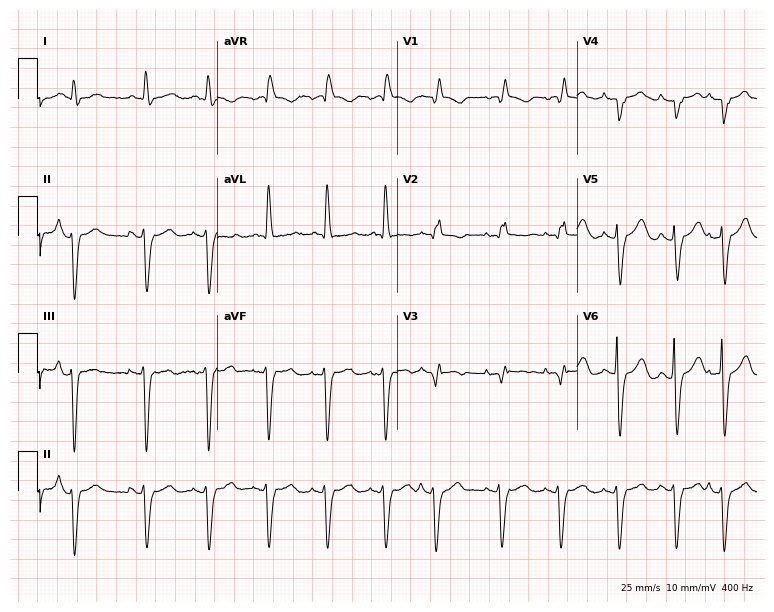
Standard 12-lead ECG recorded from a female, 77 years old (7.3-second recording at 400 Hz). The tracing shows right bundle branch block.